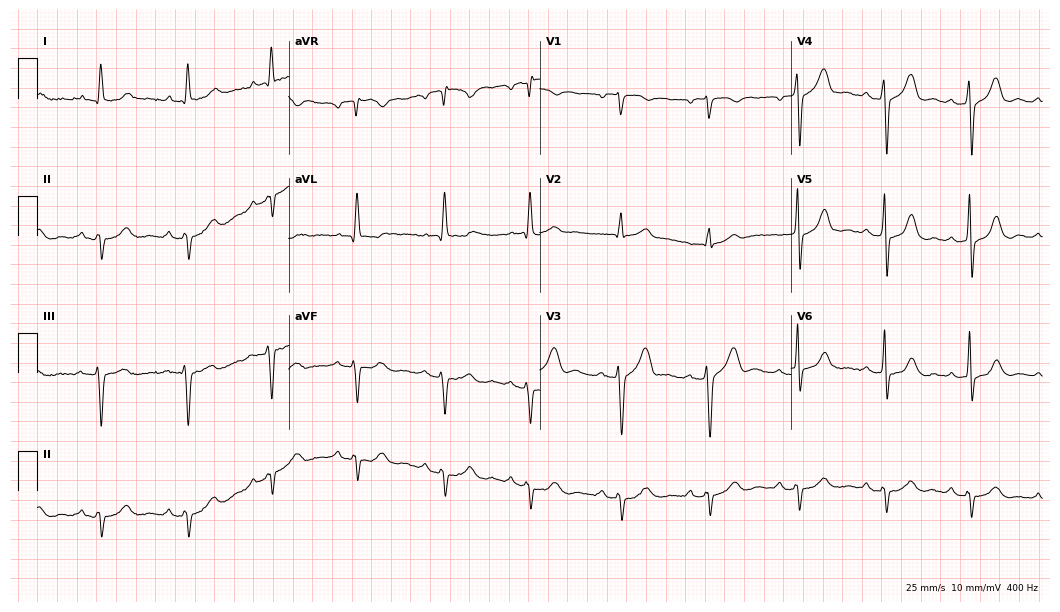
12-lead ECG from a 73-year-old male patient. No first-degree AV block, right bundle branch block, left bundle branch block, sinus bradycardia, atrial fibrillation or sinus tachycardia recorded for this tracing.